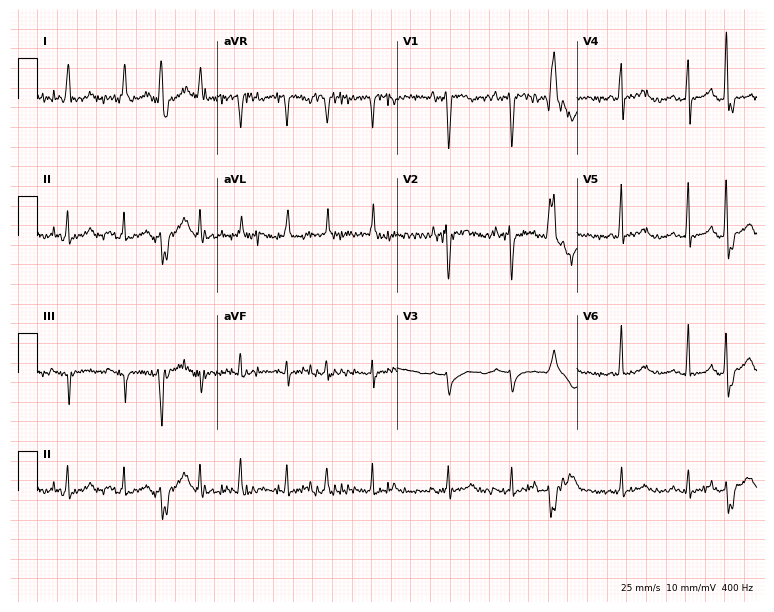
Standard 12-lead ECG recorded from a 58-year-old female. None of these six findings is recorded: first-degree AV block, right bundle branch block, left bundle branch block, sinus bradycardia, atrial fibrillation, sinus tachycardia.